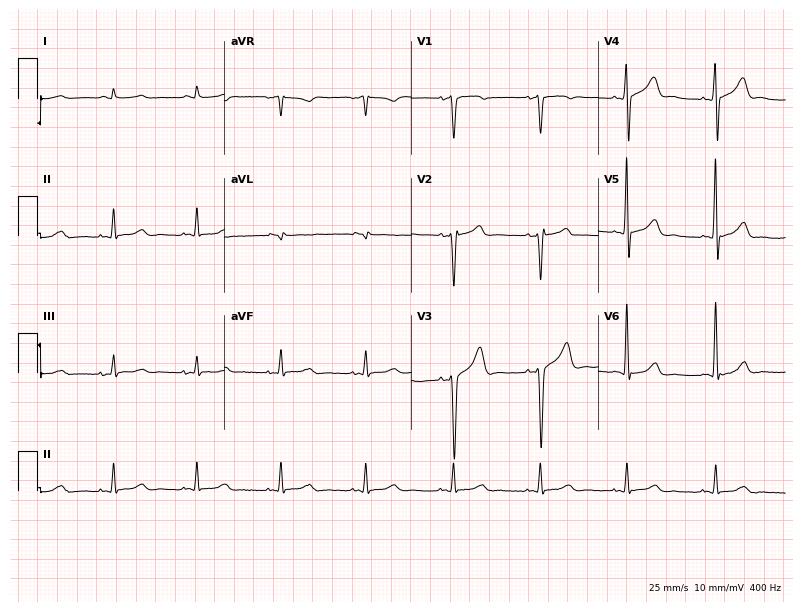
Standard 12-lead ECG recorded from a 58-year-old man (7.6-second recording at 400 Hz). None of these six findings is recorded: first-degree AV block, right bundle branch block, left bundle branch block, sinus bradycardia, atrial fibrillation, sinus tachycardia.